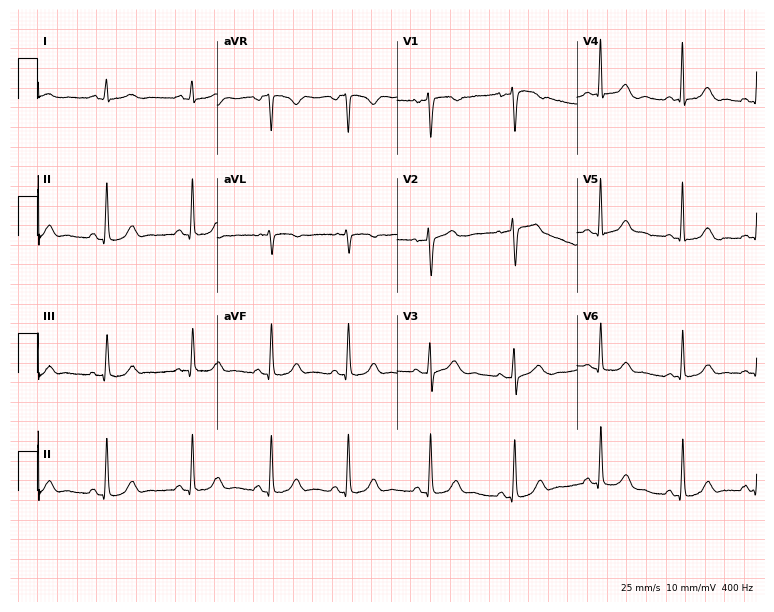
12-lead ECG from a female, 36 years old (7.3-second recording at 400 Hz). Recorded interpretation: within normal limits.